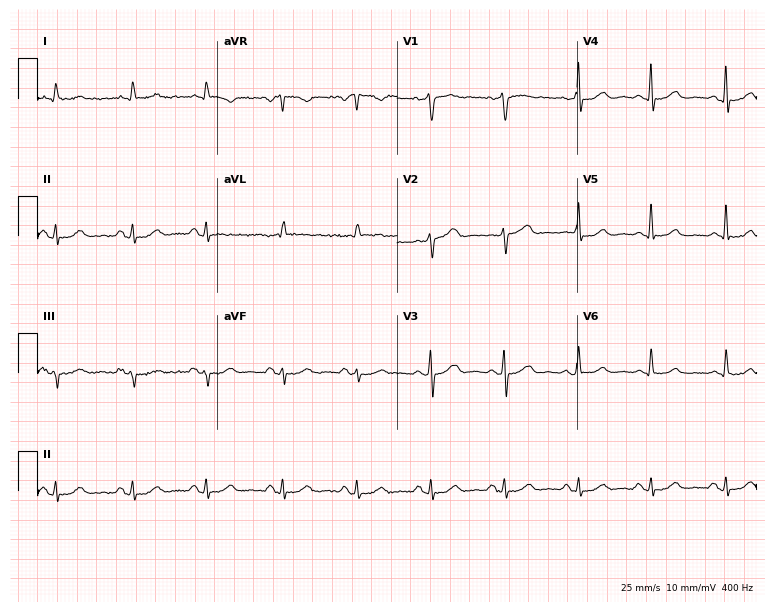
Standard 12-lead ECG recorded from a male patient, 68 years old (7.3-second recording at 400 Hz). None of these six findings is recorded: first-degree AV block, right bundle branch block, left bundle branch block, sinus bradycardia, atrial fibrillation, sinus tachycardia. Findings outside these six are not listed.